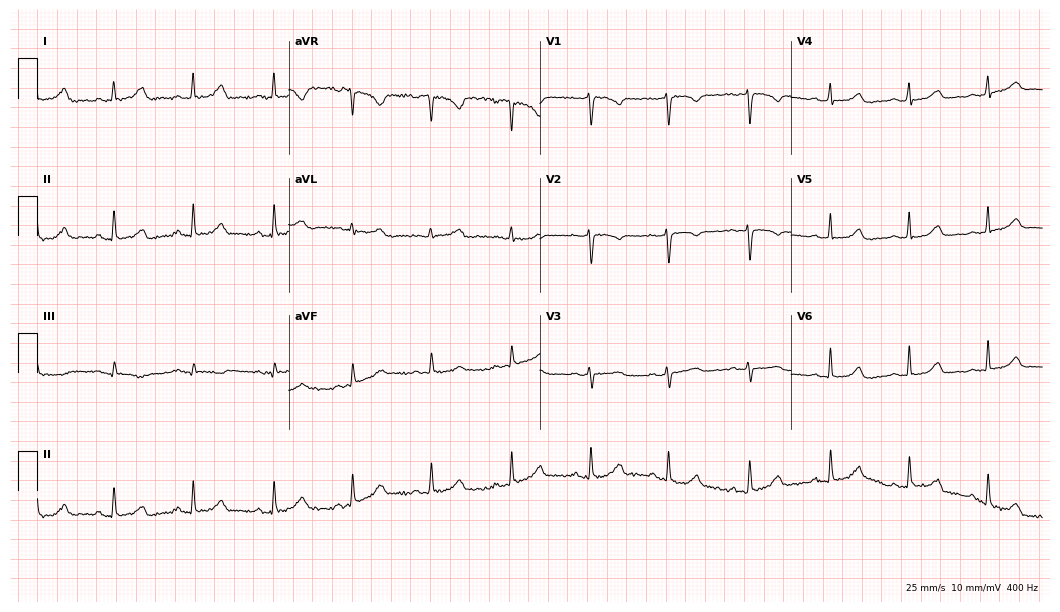
12-lead ECG (10.2-second recording at 400 Hz) from a 43-year-old female. Labelled as a normal ECG.